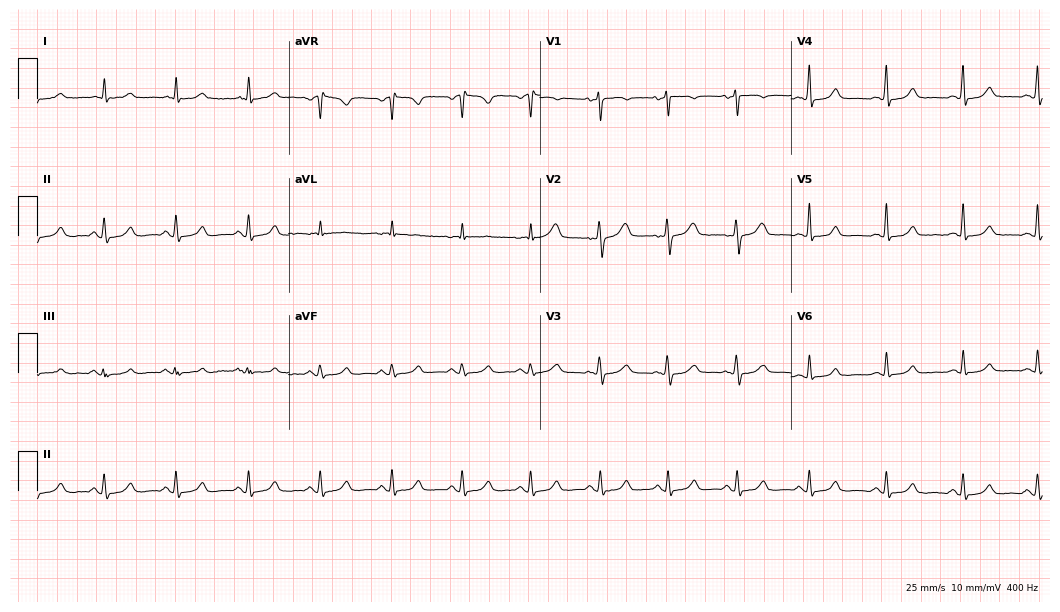
Electrocardiogram (10.2-second recording at 400 Hz), a female patient, 40 years old. Overall reading on record: normal ECG.